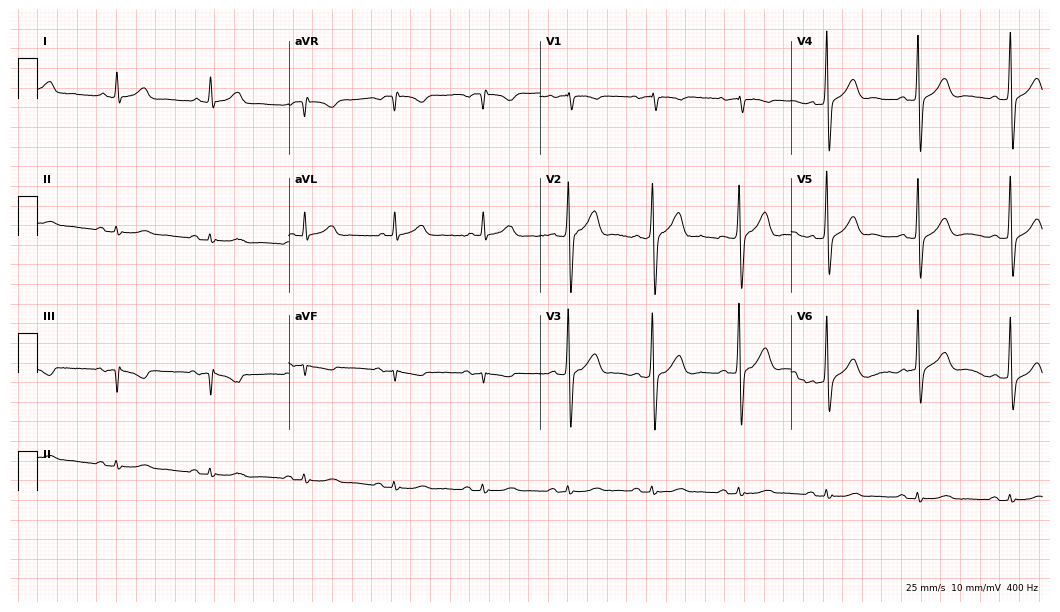
Electrocardiogram, a male, 79 years old. Overall reading on record: normal ECG.